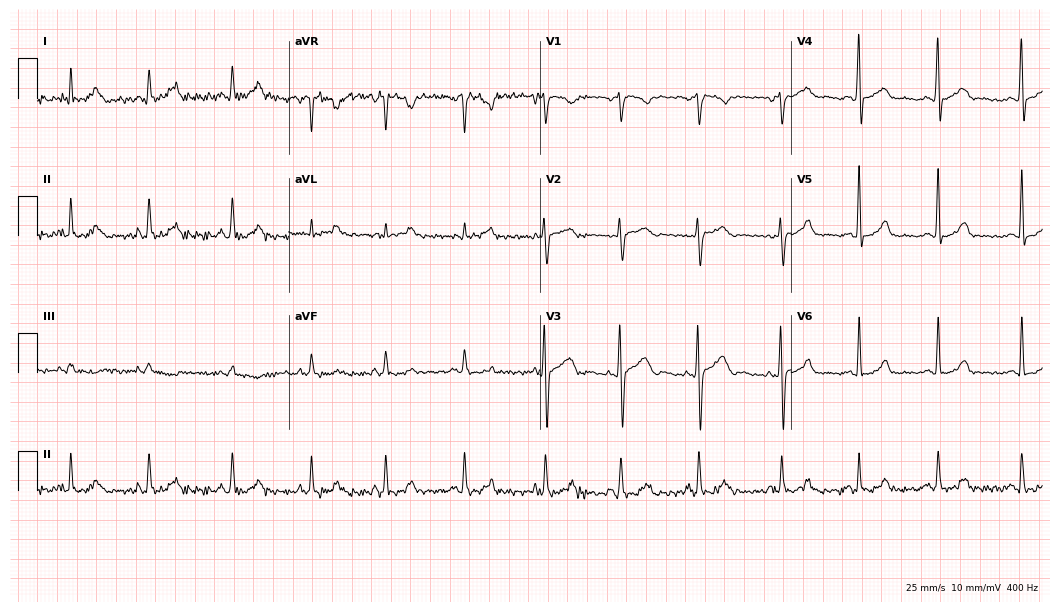
Standard 12-lead ECG recorded from a female, 31 years old. Read as a normal ECG.